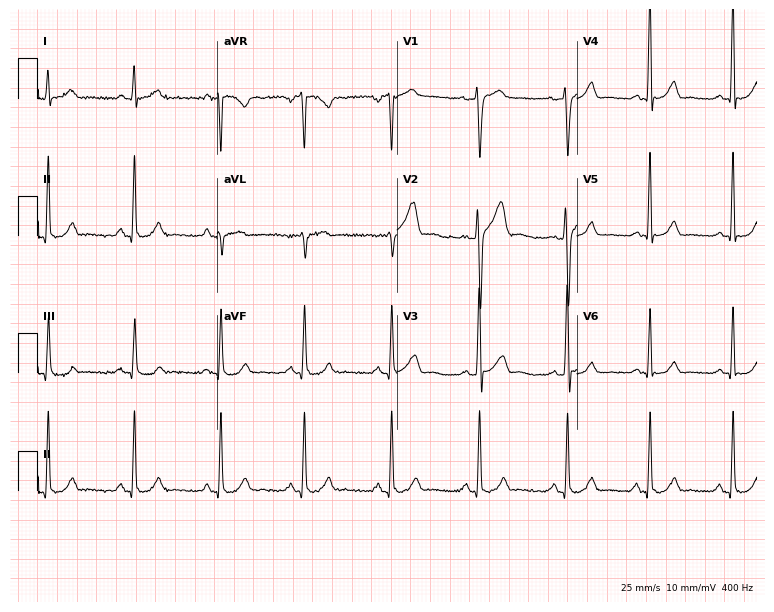
Electrocardiogram, a man, 28 years old. Of the six screened findings (first-degree AV block, right bundle branch block (RBBB), left bundle branch block (LBBB), sinus bradycardia, atrial fibrillation (AF), sinus tachycardia), none is recorded.